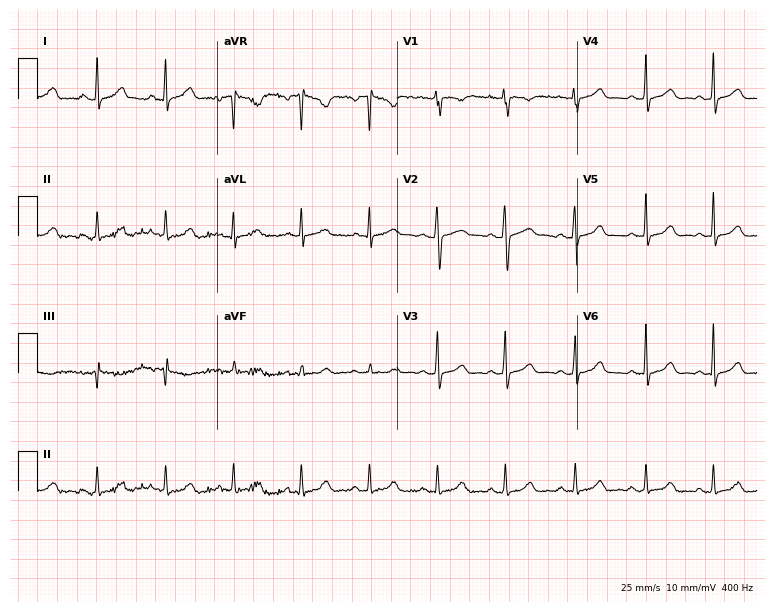
Standard 12-lead ECG recorded from a 29-year-old female patient (7.3-second recording at 400 Hz). None of these six findings is recorded: first-degree AV block, right bundle branch block (RBBB), left bundle branch block (LBBB), sinus bradycardia, atrial fibrillation (AF), sinus tachycardia.